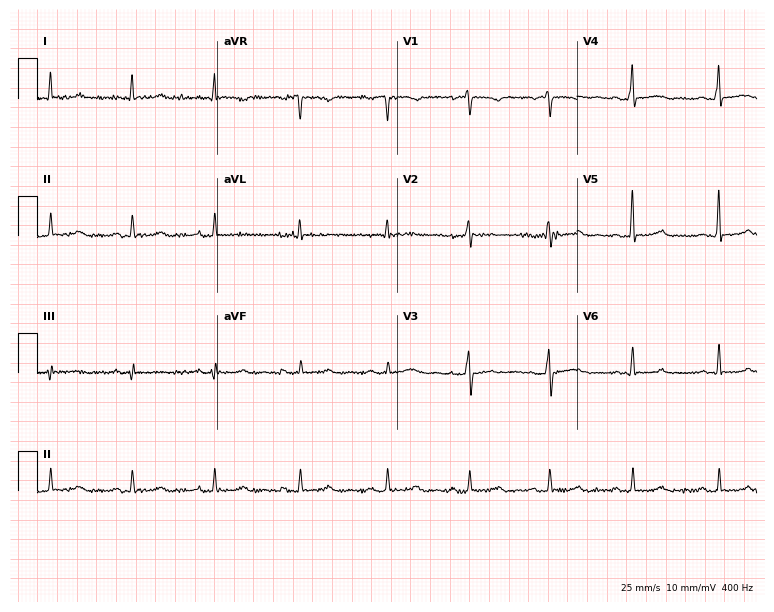
12-lead ECG from a woman, 39 years old. No first-degree AV block, right bundle branch block, left bundle branch block, sinus bradycardia, atrial fibrillation or sinus tachycardia recorded for this tracing.